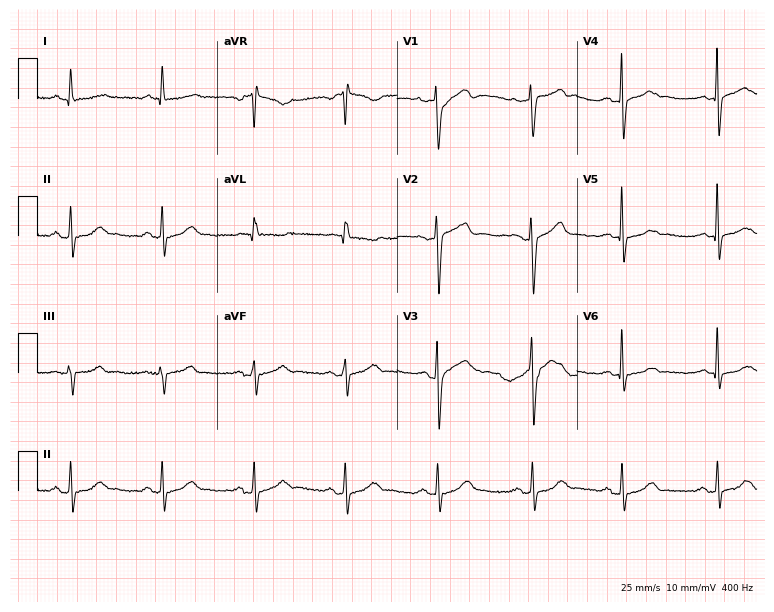
Standard 12-lead ECG recorded from a female patient, 79 years old. None of these six findings is recorded: first-degree AV block, right bundle branch block, left bundle branch block, sinus bradycardia, atrial fibrillation, sinus tachycardia.